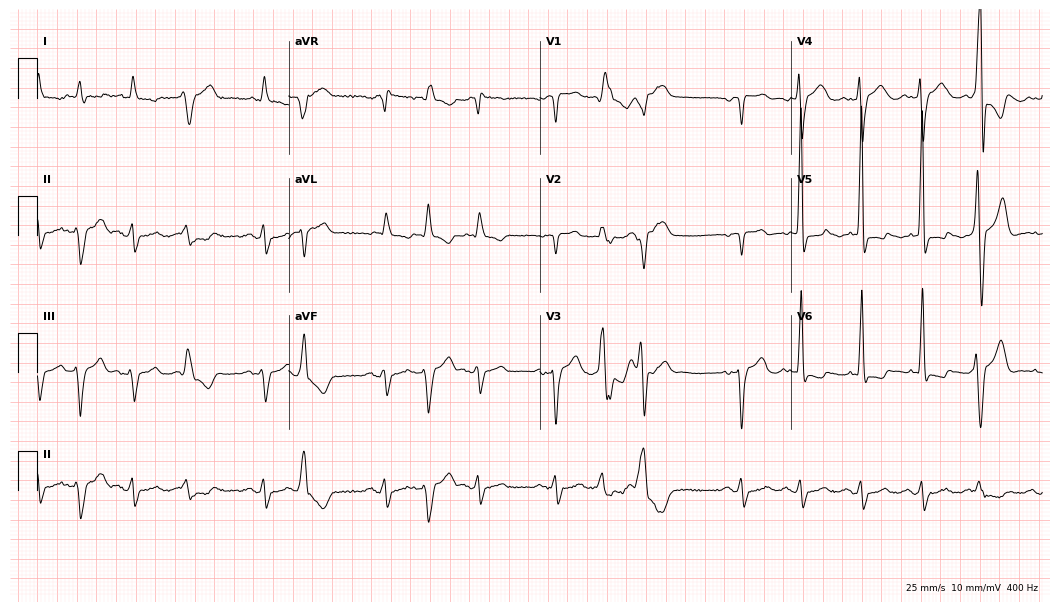
ECG (10.2-second recording at 400 Hz) — an 84-year-old male. Screened for six findings — first-degree AV block, right bundle branch block, left bundle branch block, sinus bradycardia, atrial fibrillation, sinus tachycardia — none is recorded. Findings outside these six are not listed.